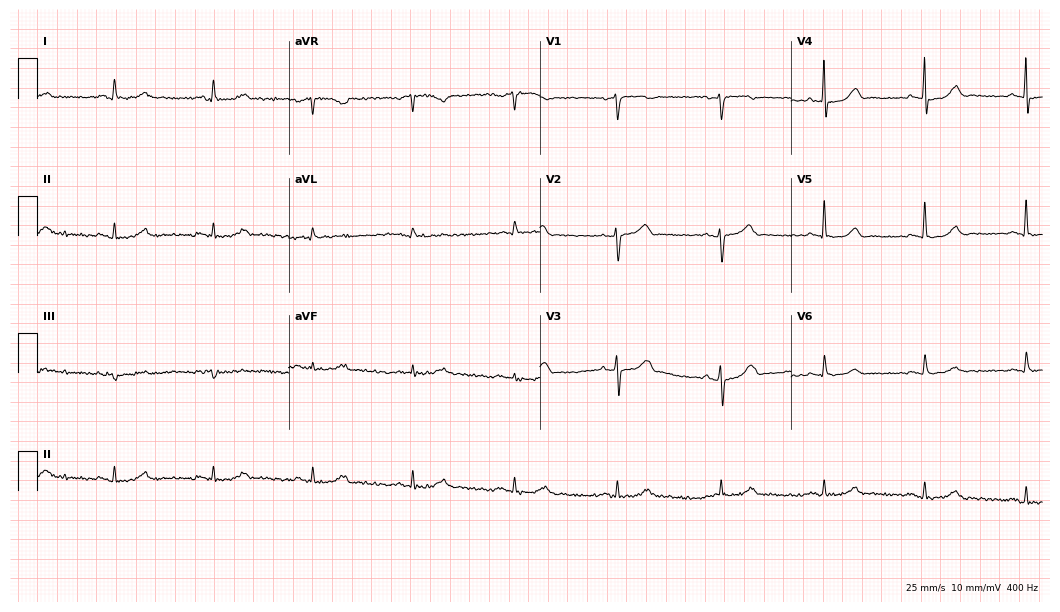
12-lead ECG from a male patient, 65 years old (10.2-second recording at 400 Hz). No first-degree AV block, right bundle branch block, left bundle branch block, sinus bradycardia, atrial fibrillation or sinus tachycardia recorded for this tracing. Other findings, if any, are not listed.